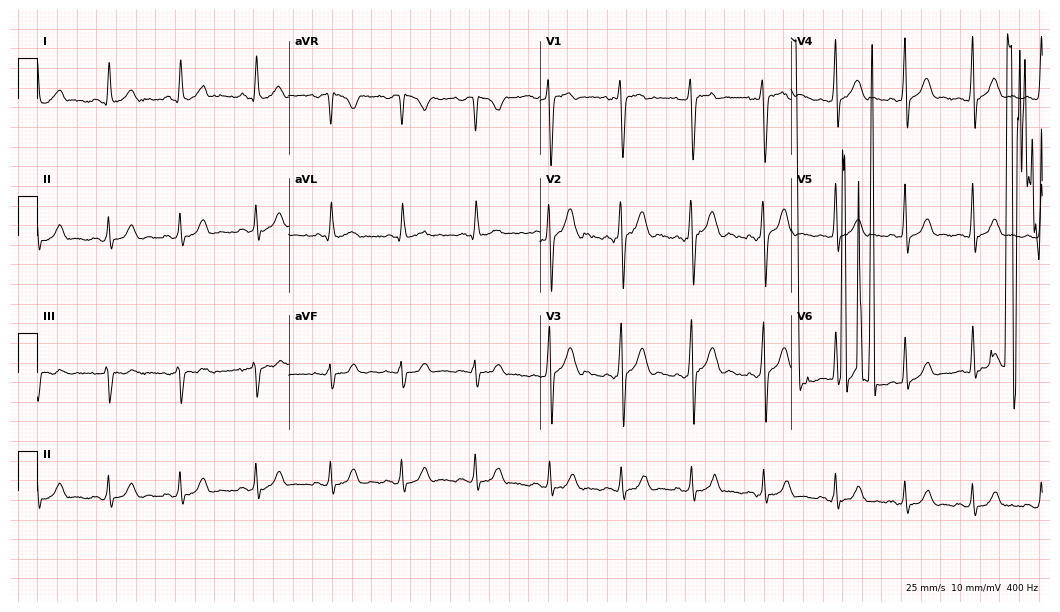
Electrocardiogram, an 18-year-old man. Of the six screened findings (first-degree AV block, right bundle branch block (RBBB), left bundle branch block (LBBB), sinus bradycardia, atrial fibrillation (AF), sinus tachycardia), none is recorded. Findings outside these six are not listed.